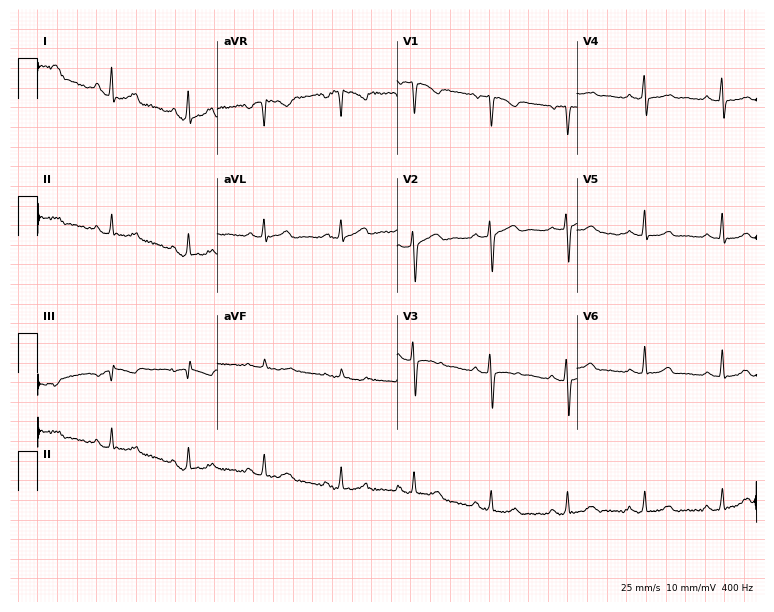
12-lead ECG from a 39-year-old female. No first-degree AV block, right bundle branch block, left bundle branch block, sinus bradycardia, atrial fibrillation or sinus tachycardia recorded for this tracing.